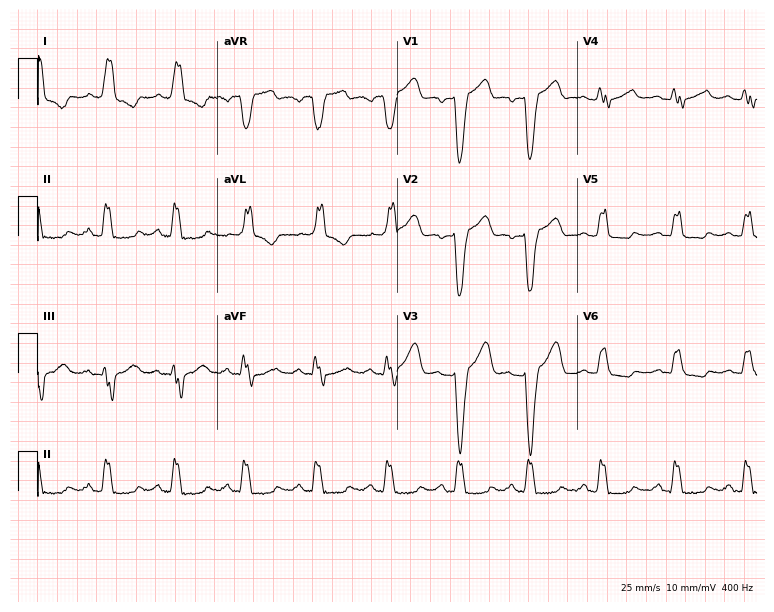
Resting 12-lead electrocardiogram (7.3-second recording at 400 Hz). Patient: a female, 49 years old. The tracing shows left bundle branch block.